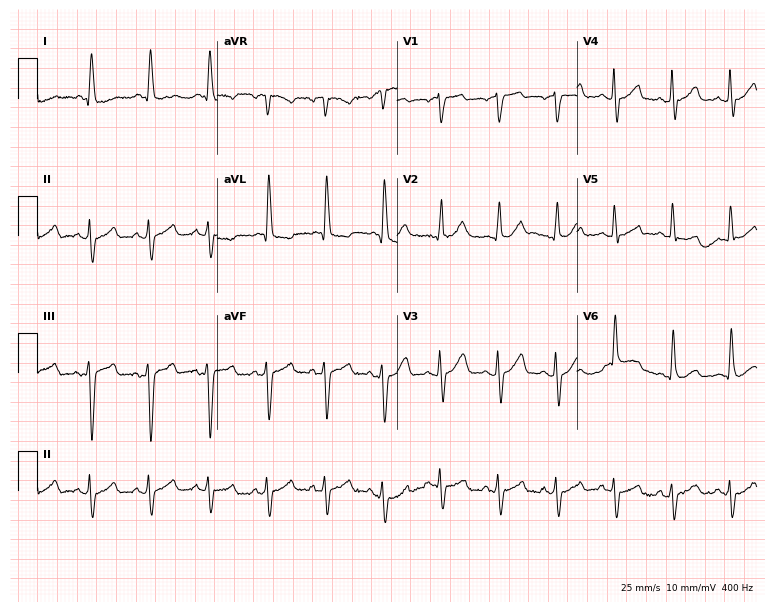
Resting 12-lead electrocardiogram (7.3-second recording at 400 Hz). Patient: a 71-year-old male. The tracing shows sinus tachycardia (a sinus rate of 100 beats per minute or more).